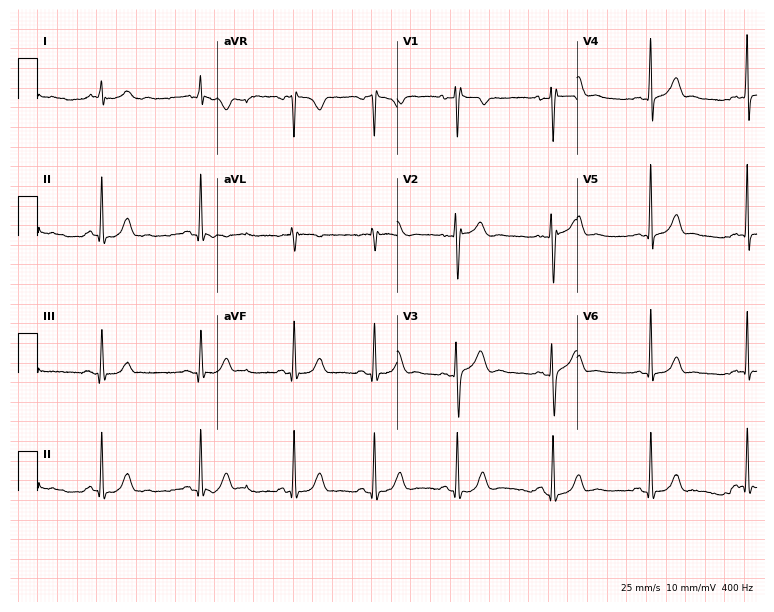
Electrocardiogram (7.3-second recording at 400 Hz), a male patient, 44 years old. Overall reading on record: normal ECG.